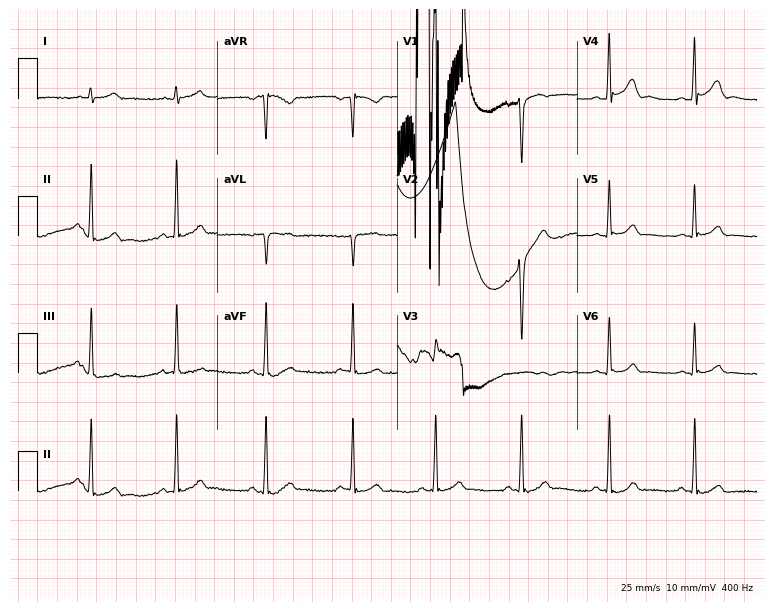
Standard 12-lead ECG recorded from a 40-year-old man. None of these six findings is recorded: first-degree AV block, right bundle branch block, left bundle branch block, sinus bradycardia, atrial fibrillation, sinus tachycardia. Other findings, if any, are not listed.